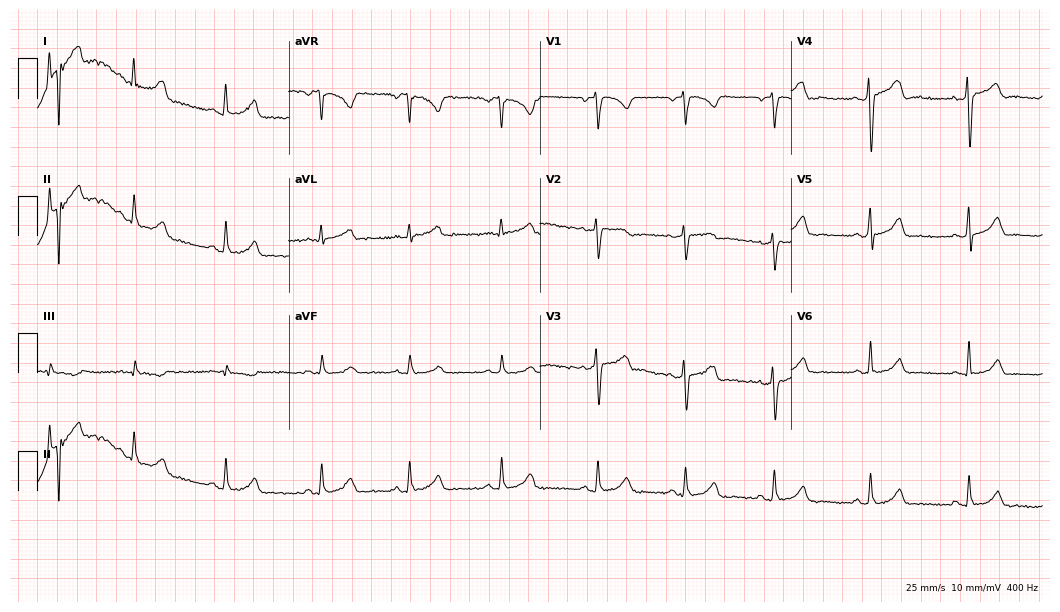
Resting 12-lead electrocardiogram. Patient: a 32-year-old female. Read as a normal ECG.